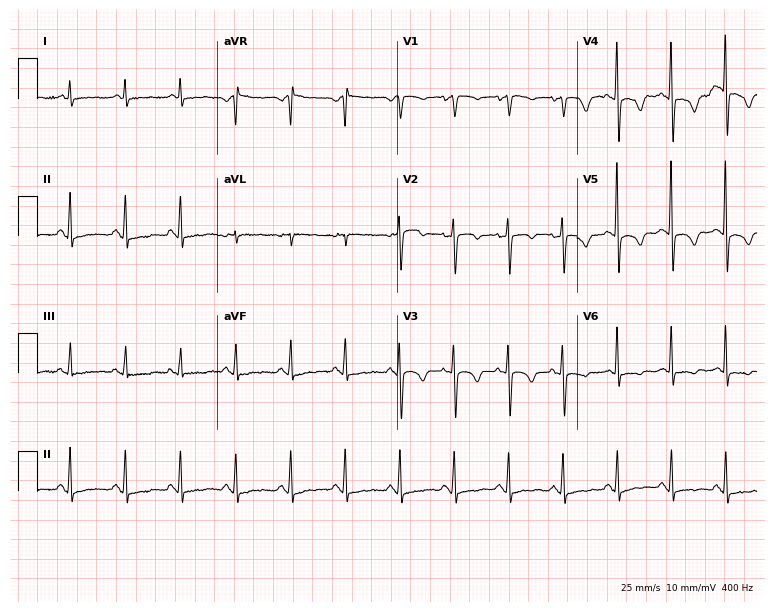
Standard 12-lead ECG recorded from a female patient, 60 years old (7.3-second recording at 400 Hz). The tracing shows sinus tachycardia (a sinus rate of 100 beats per minute or more).